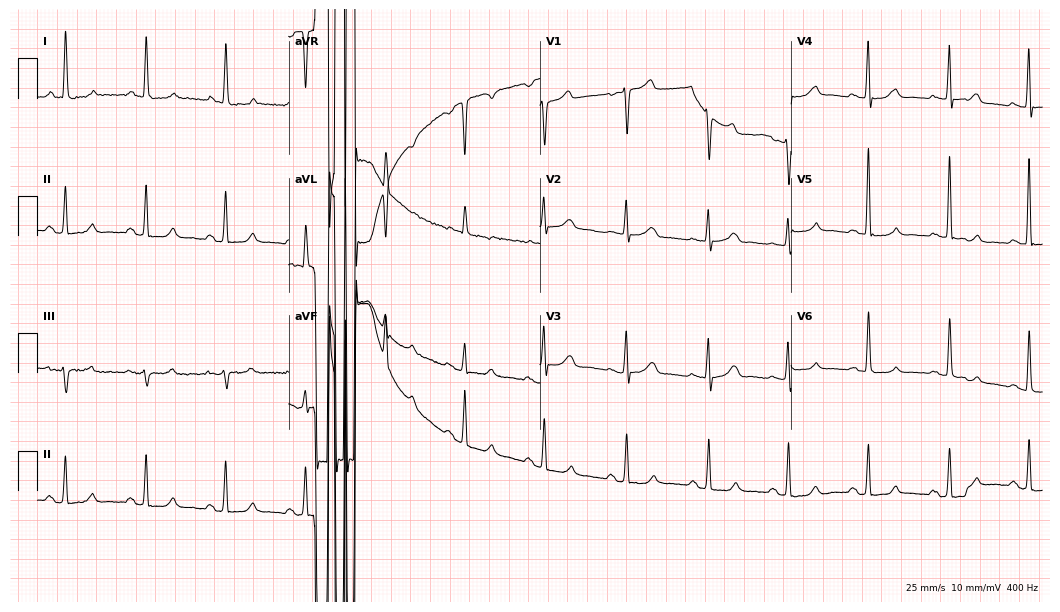
Resting 12-lead electrocardiogram (10.2-second recording at 400 Hz). Patient: a 59-year-old woman. None of these six findings is recorded: first-degree AV block, right bundle branch block (RBBB), left bundle branch block (LBBB), sinus bradycardia, atrial fibrillation (AF), sinus tachycardia. Other findings, if any, are not listed.